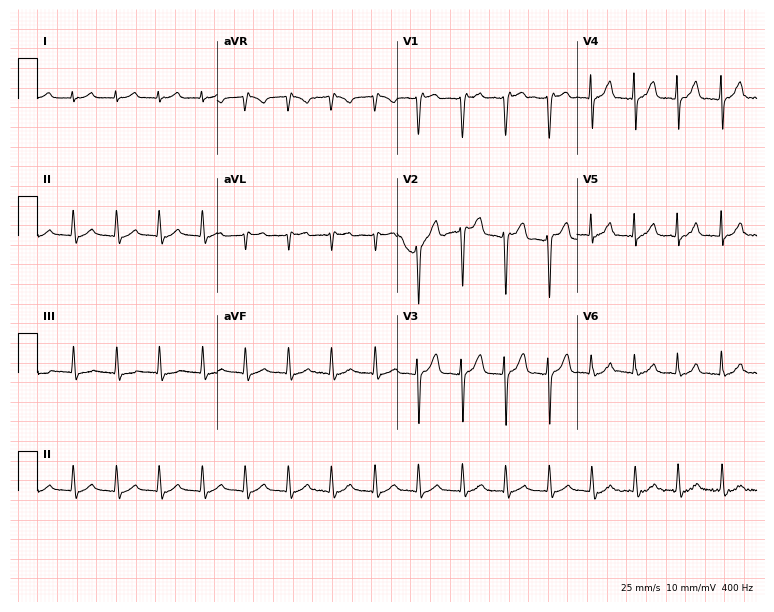
12-lead ECG from a female, 83 years old. Shows sinus tachycardia (a sinus rate of 100 beats per minute or more).